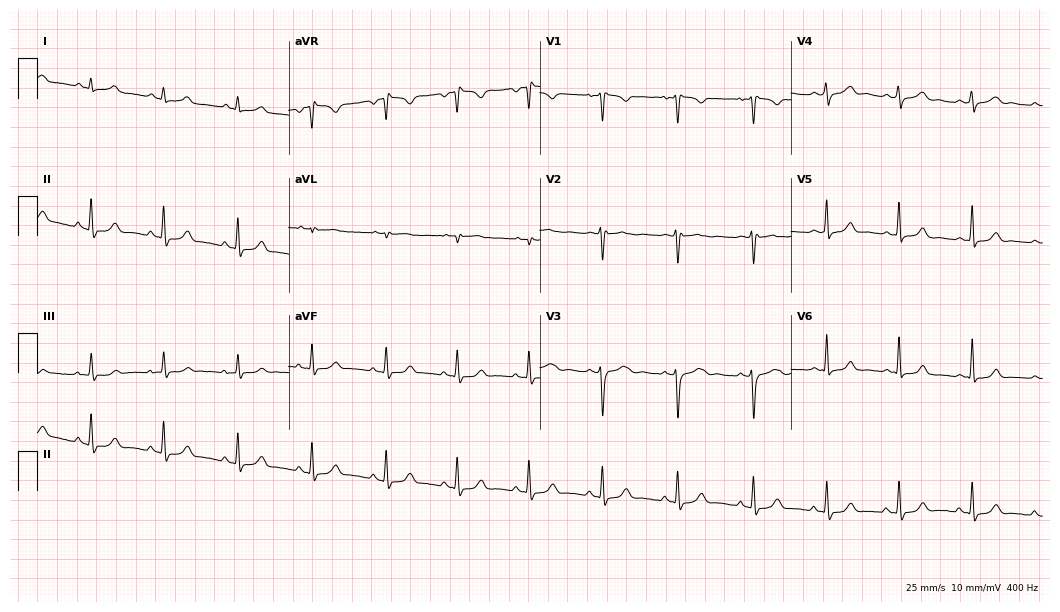
12-lead ECG from a 27-year-old female patient (10.2-second recording at 400 Hz). No first-degree AV block, right bundle branch block, left bundle branch block, sinus bradycardia, atrial fibrillation or sinus tachycardia recorded for this tracing.